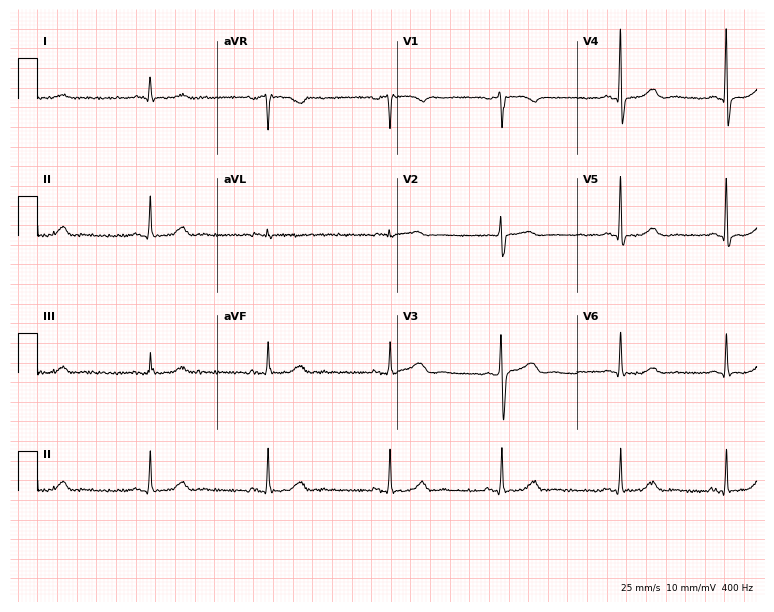
ECG — a female, 54 years old. Screened for six findings — first-degree AV block, right bundle branch block (RBBB), left bundle branch block (LBBB), sinus bradycardia, atrial fibrillation (AF), sinus tachycardia — none is recorded.